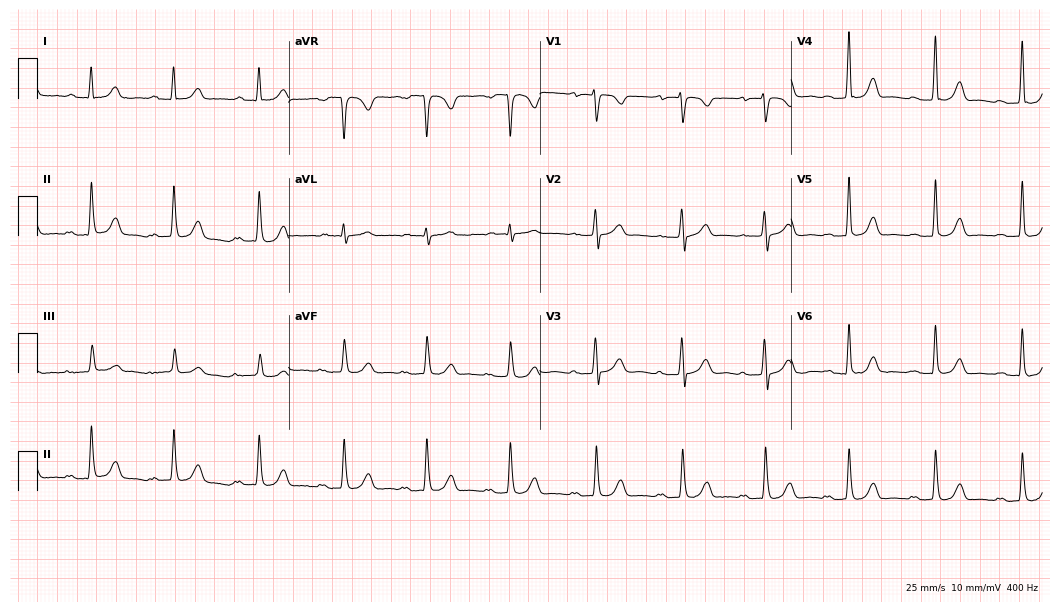
Resting 12-lead electrocardiogram. Patient: a 62-year-old woman. Read as a normal ECG.